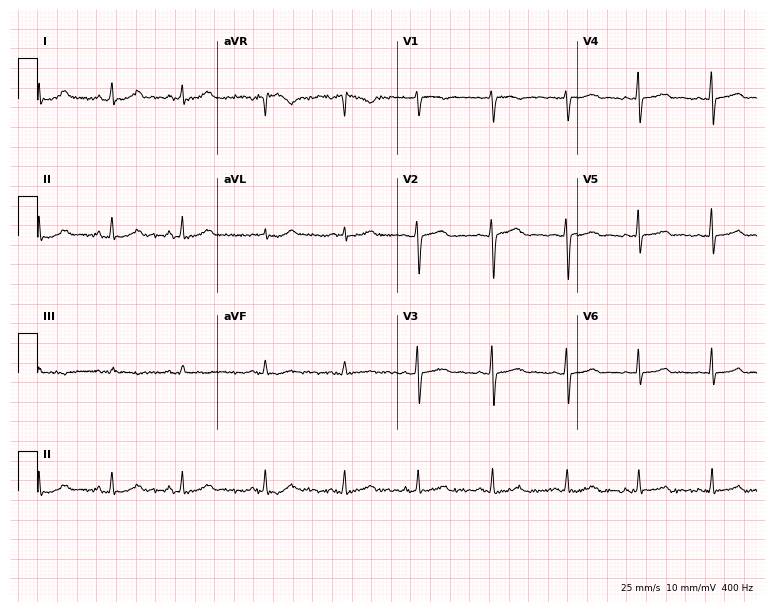
Standard 12-lead ECG recorded from a 41-year-old female patient. Read as a normal ECG.